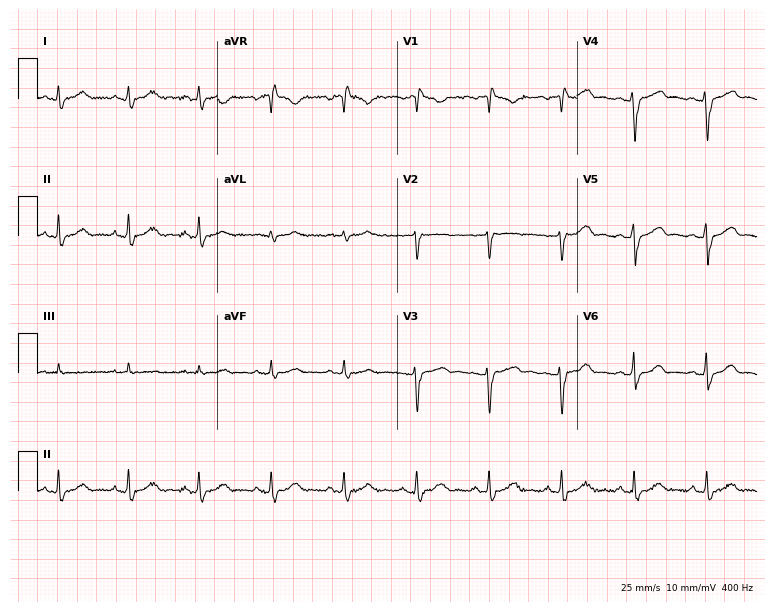
Resting 12-lead electrocardiogram. Patient: a female, 35 years old. None of these six findings is recorded: first-degree AV block, right bundle branch block, left bundle branch block, sinus bradycardia, atrial fibrillation, sinus tachycardia. Findings outside these six are not listed.